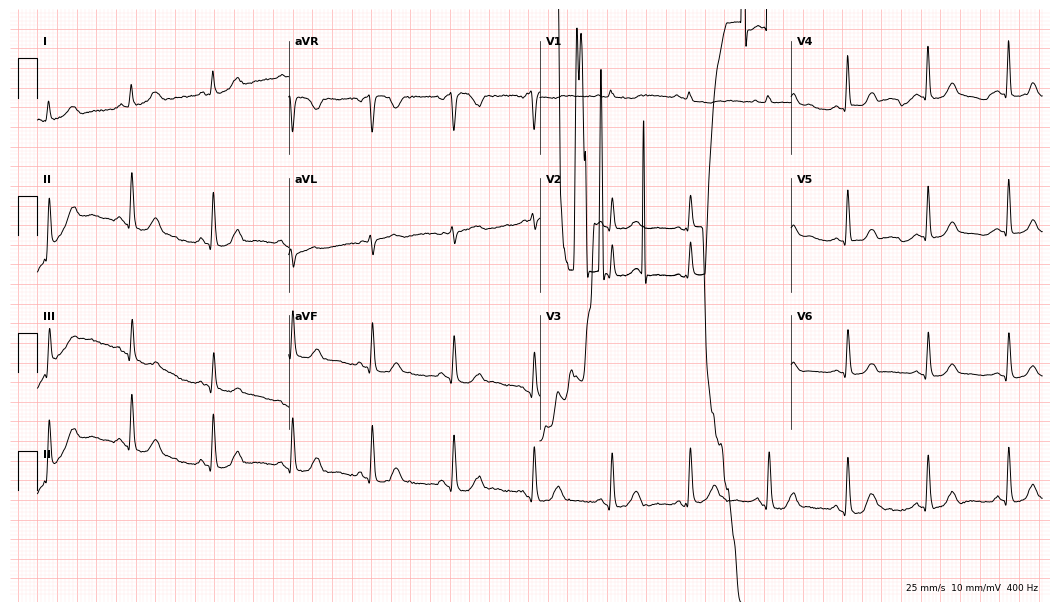
12-lead ECG (10.2-second recording at 400 Hz) from a 34-year-old female. Screened for six findings — first-degree AV block, right bundle branch block, left bundle branch block, sinus bradycardia, atrial fibrillation, sinus tachycardia — none is recorded. Other findings, if any, are not listed.